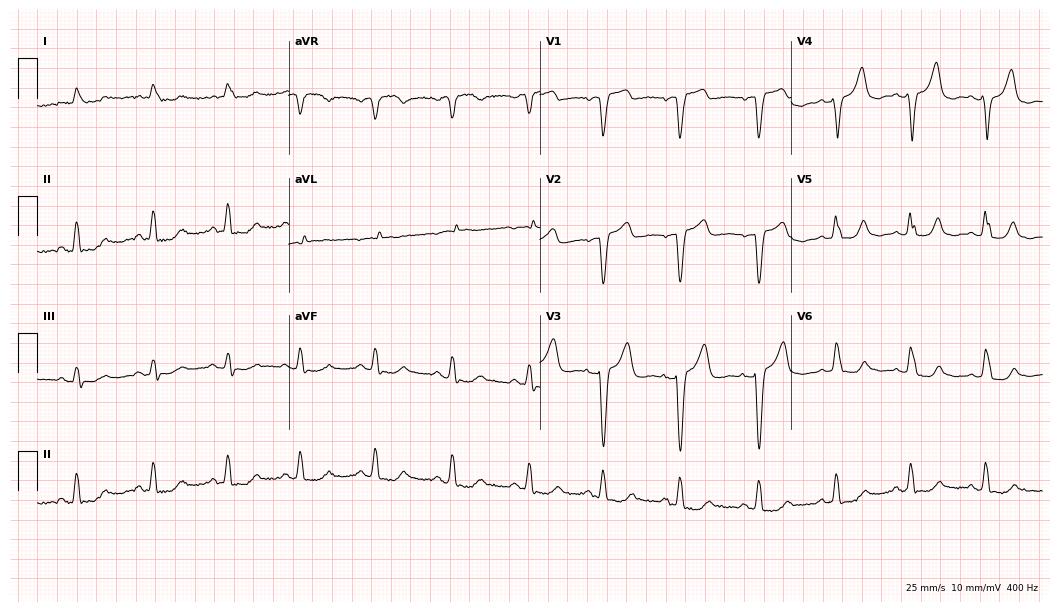
12-lead ECG from a female patient, 89 years old. Shows left bundle branch block.